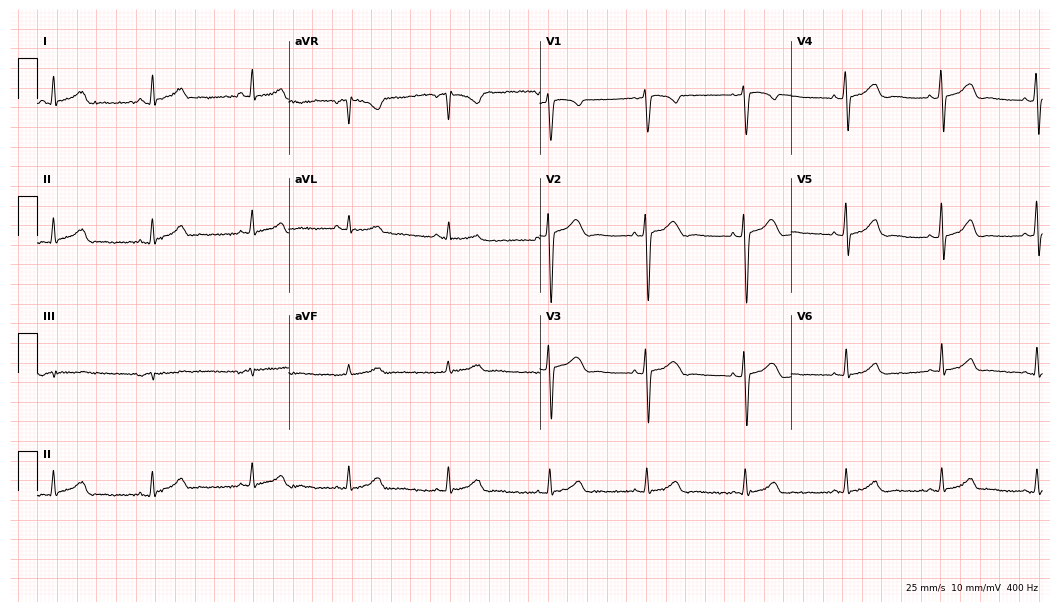
Standard 12-lead ECG recorded from a 25-year-old female patient. None of these six findings is recorded: first-degree AV block, right bundle branch block, left bundle branch block, sinus bradycardia, atrial fibrillation, sinus tachycardia. Only these six findings were labelled.